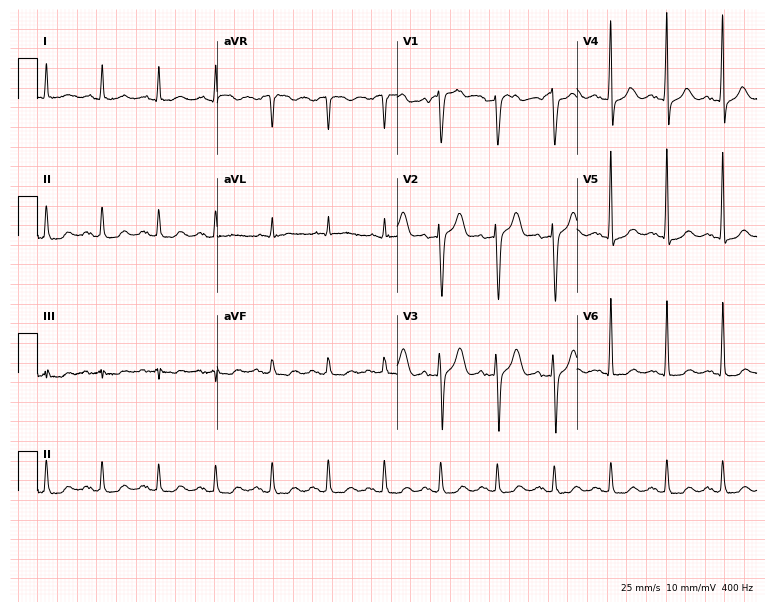
12-lead ECG from a man, 73 years old. Screened for six findings — first-degree AV block, right bundle branch block, left bundle branch block, sinus bradycardia, atrial fibrillation, sinus tachycardia — none is recorded.